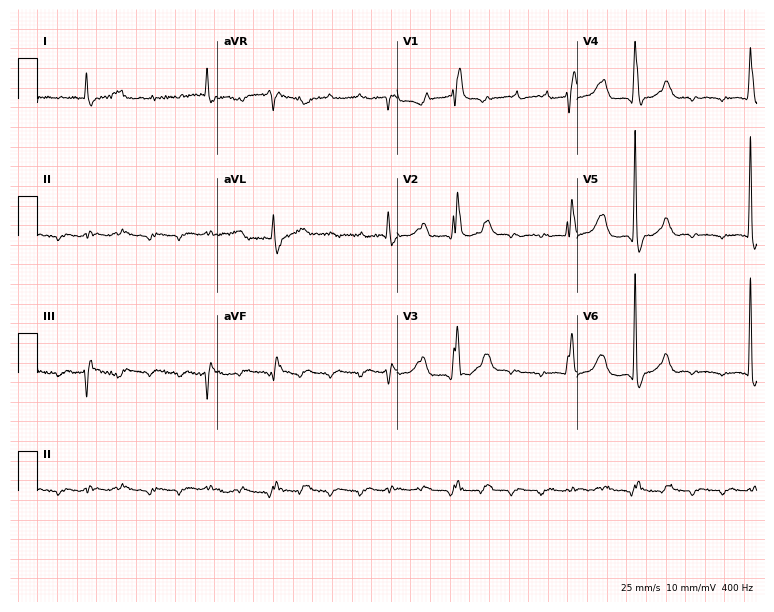
12-lead ECG from an 82-year-old male. No first-degree AV block, right bundle branch block (RBBB), left bundle branch block (LBBB), sinus bradycardia, atrial fibrillation (AF) or sinus tachycardia recorded for this tracing.